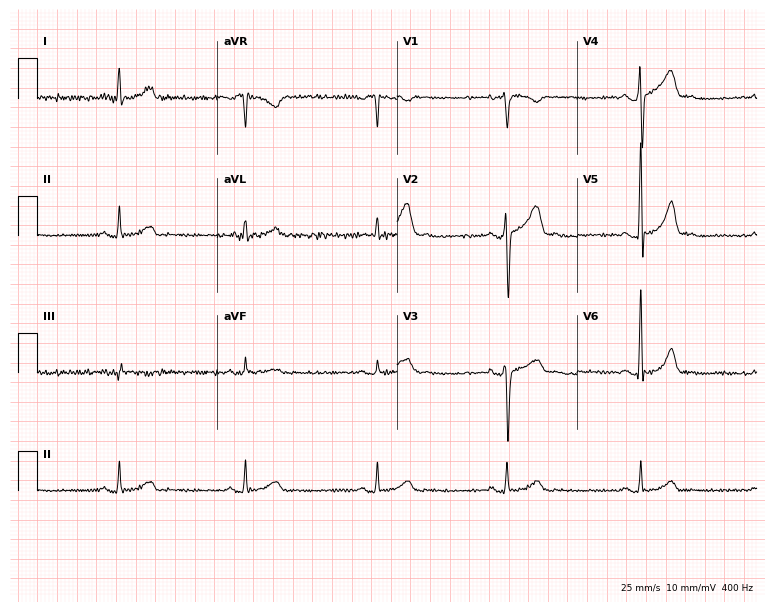
Electrocardiogram (7.3-second recording at 400 Hz), a 27-year-old male patient. Interpretation includes sinus bradycardia (a sinus rate of 50 beats per minute or less).